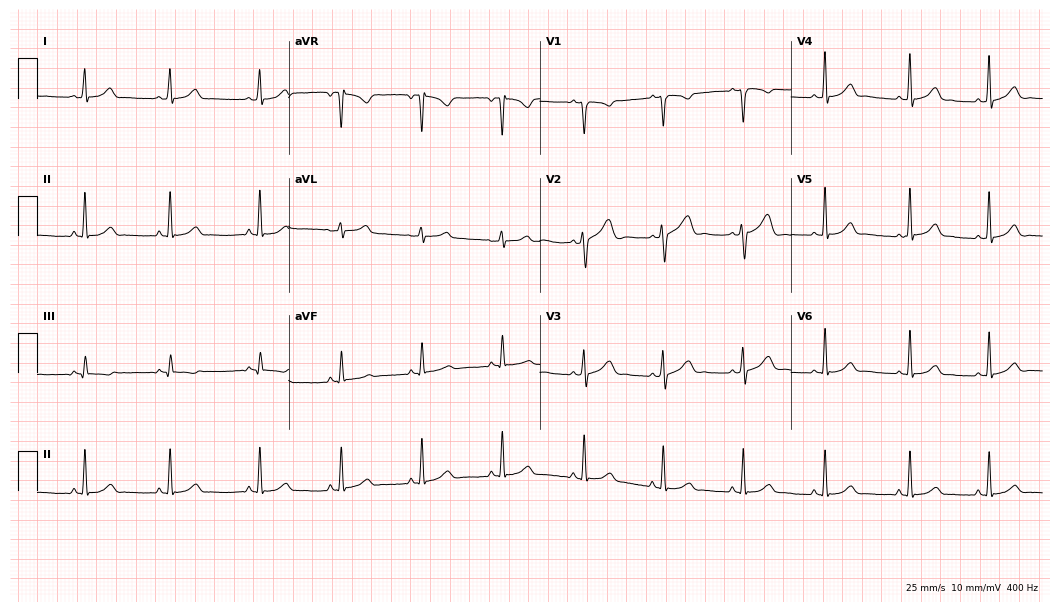
Resting 12-lead electrocardiogram (10.2-second recording at 400 Hz). Patient: a female, 32 years old. None of these six findings is recorded: first-degree AV block, right bundle branch block, left bundle branch block, sinus bradycardia, atrial fibrillation, sinus tachycardia. Only these six findings were labelled.